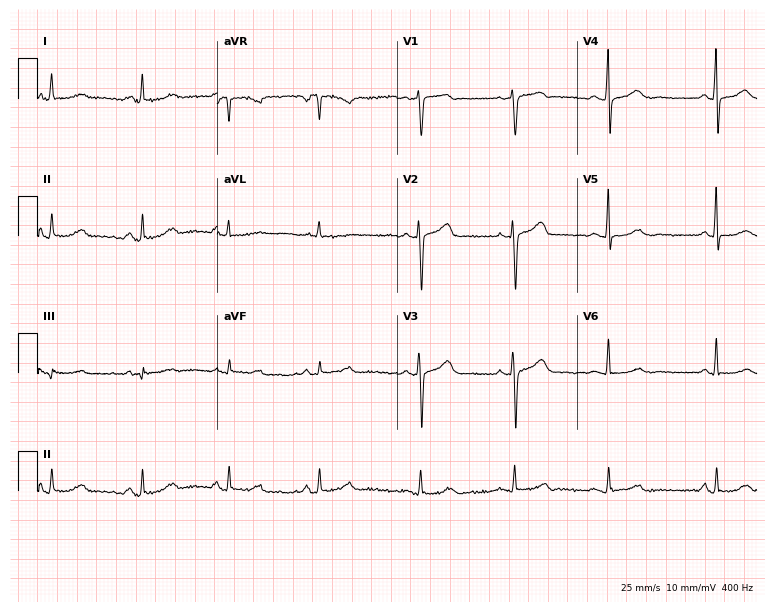
Resting 12-lead electrocardiogram. Patient: a 67-year-old female. Read as a normal ECG.